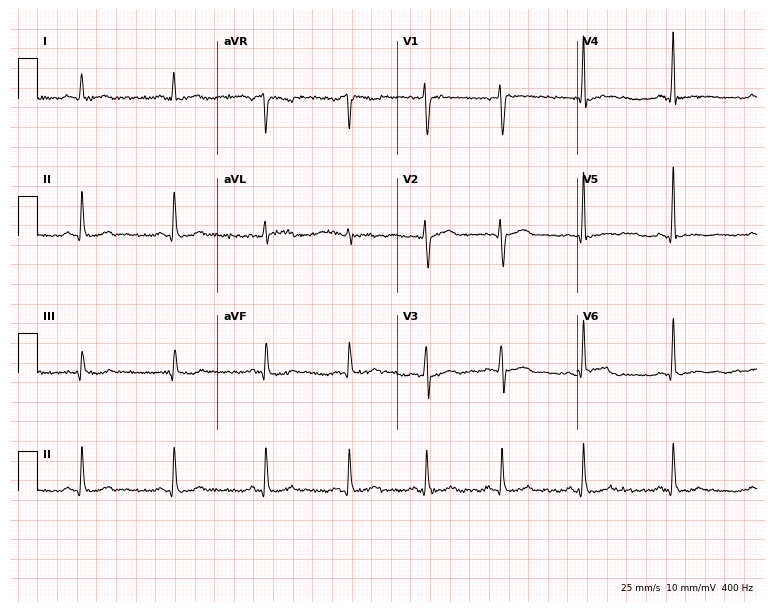
ECG (7.3-second recording at 400 Hz) — a 31-year-old male. Screened for six findings — first-degree AV block, right bundle branch block, left bundle branch block, sinus bradycardia, atrial fibrillation, sinus tachycardia — none is recorded.